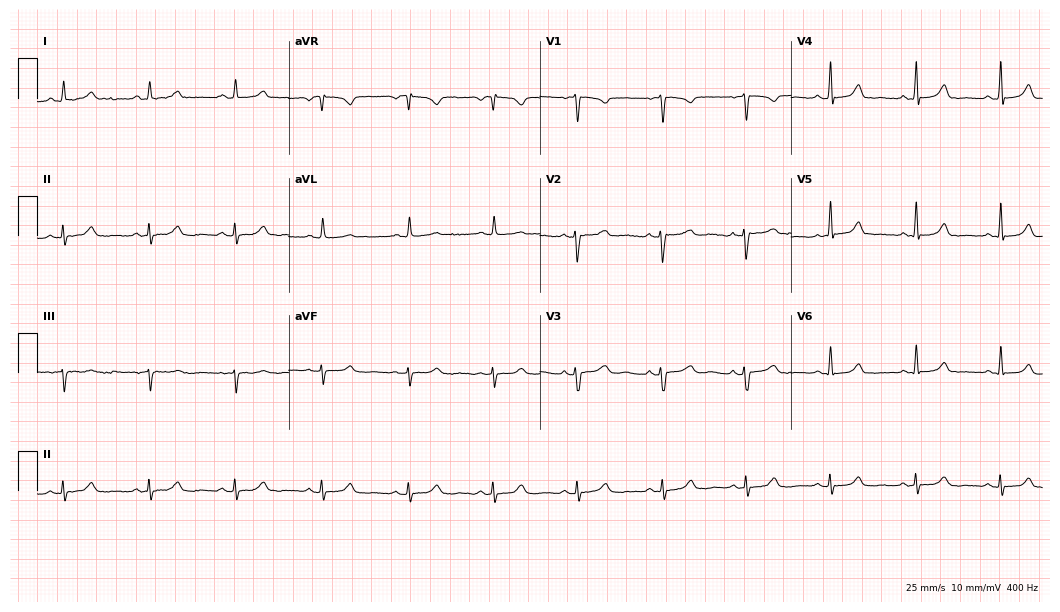
12-lead ECG from a 38-year-old female patient. Recorded interpretation: within normal limits.